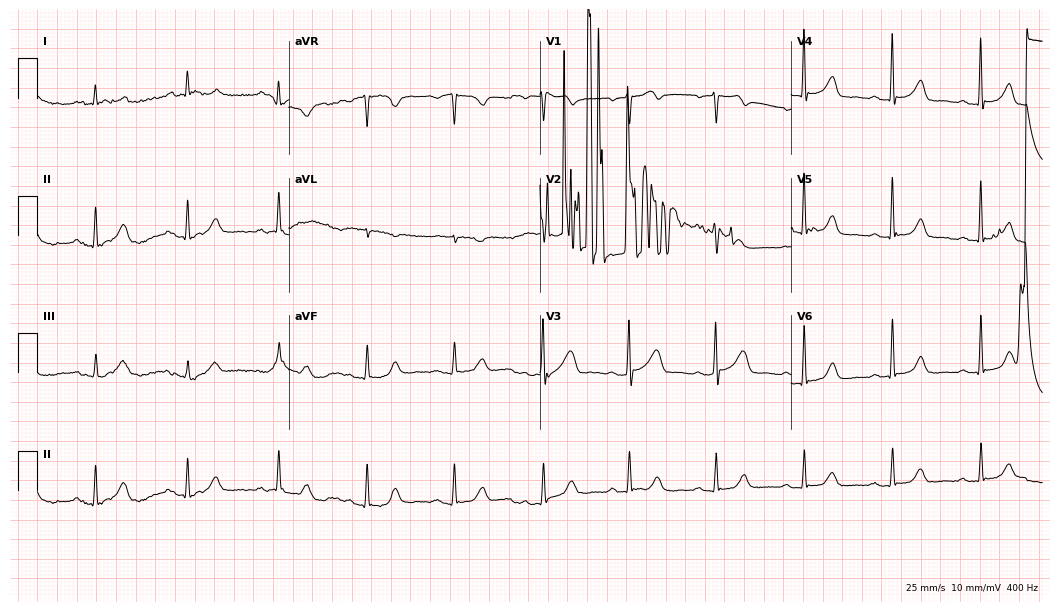
12-lead ECG from a female patient, 67 years old. No first-degree AV block, right bundle branch block, left bundle branch block, sinus bradycardia, atrial fibrillation or sinus tachycardia recorded for this tracing.